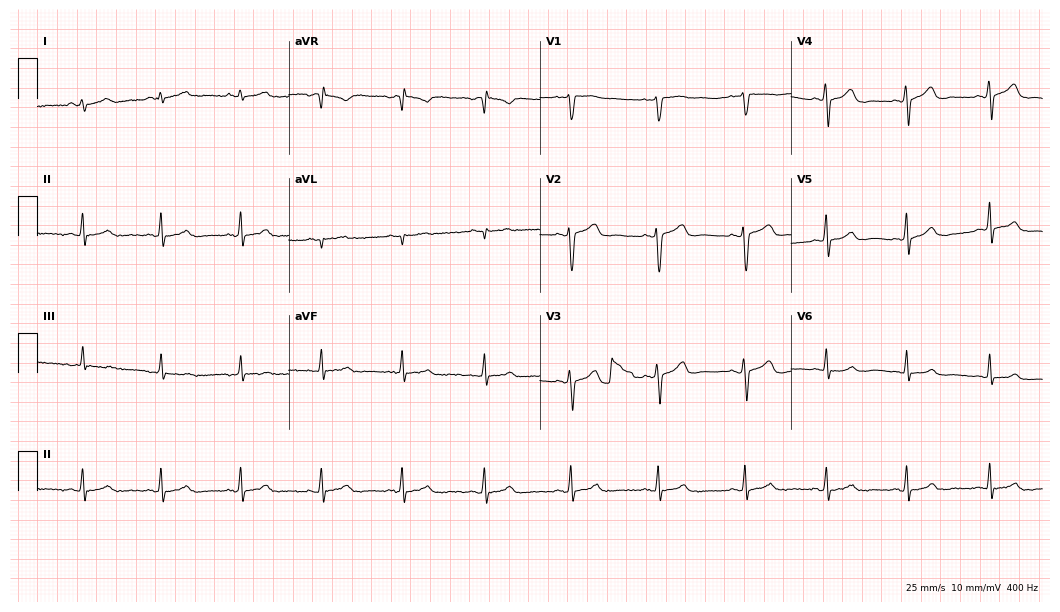
Electrocardiogram (10.2-second recording at 400 Hz), a female, 30 years old. Of the six screened findings (first-degree AV block, right bundle branch block, left bundle branch block, sinus bradycardia, atrial fibrillation, sinus tachycardia), none is recorded.